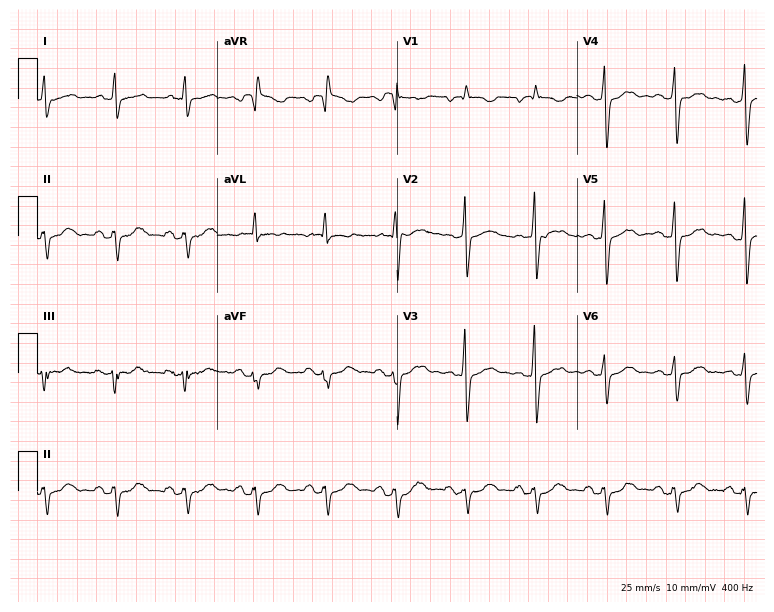
Standard 12-lead ECG recorded from an 81-year-old female patient. None of these six findings is recorded: first-degree AV block, right bundle branch block (RBBB), left bundle branch block (LBBB), sinus bradycardia, atrial fibrillation (AF), sinus tachycardia.